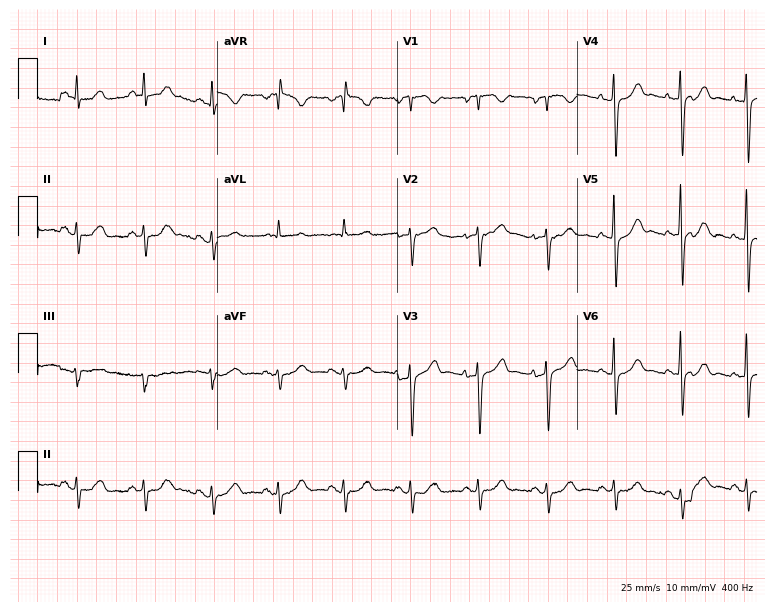
ECG (7.3-second recording at 400 Hz) — a male patient, 66 years old. Screened for six findings — first-degree AV block, right bundle branch block (RBBB), left bundle branch block (LBBB), sinus bradycardia, atrial fibrillation (AF), sinus tachycardia — none is recorded.